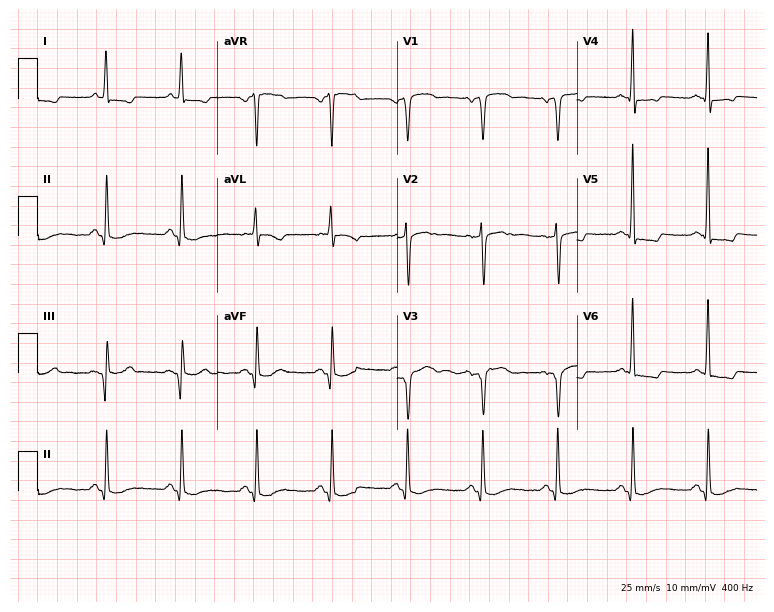
Resting 12-lead electrocardiogram. Patient: a male, 59 years old. None of these six findings is recorded: first-degree AV block, right bundle branch block (RBBB), left bundle branch block (LBBB), sinus bradycardia, atrial fibrillation (AF), sinus tachycardia.